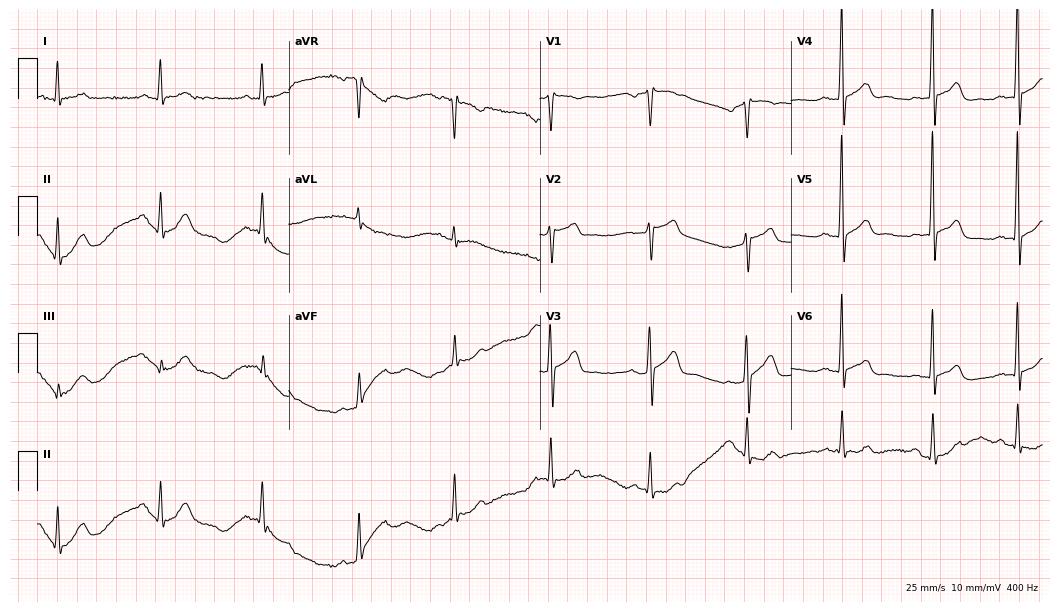
Electrocardiogram (10.2-second recording at 400 Hz), a 61-year-old male. Of the six screened findings (first-degree AV block, right bundle branch block (RBBB), left bundle branch block (LBBB), sinus bradycardia, atrial fibrillation (AF), sinus tachycardia), none is recorded. Only these six findings were labelled.